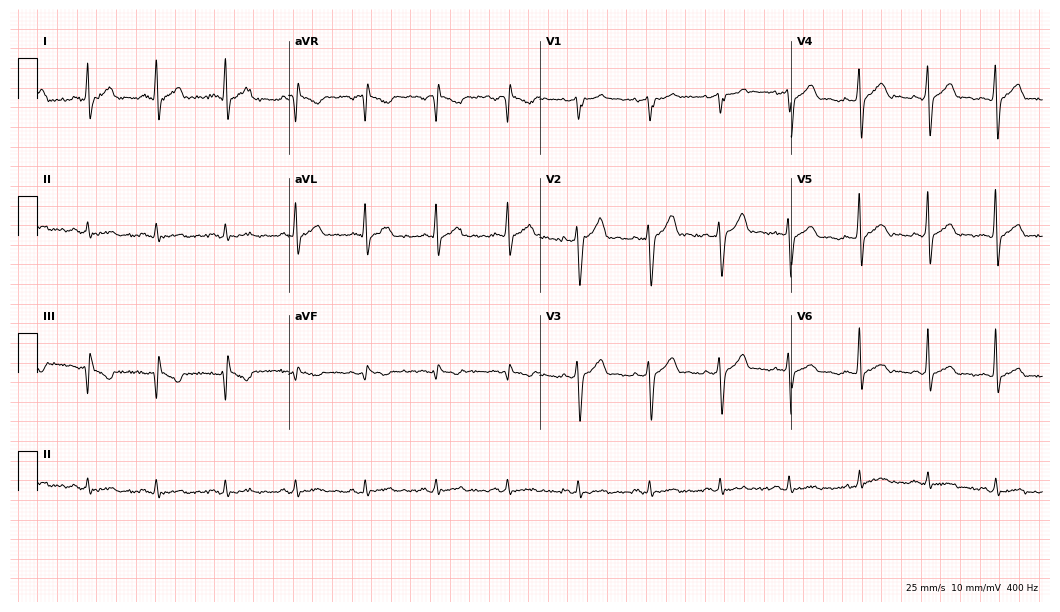
ECG — a male, 26 years old. Screened for six findings — first-degree AV block, right bundle branch block, left bundle branch block, sinus bradycardia, atrial fibrillation, sinus tachycardia — none is recorded. Other findings, if any, are not listed.